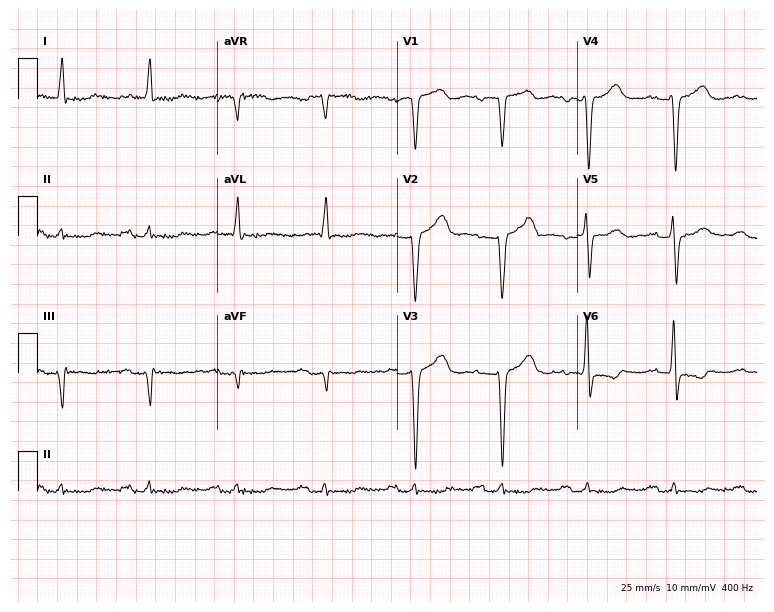
Electrocardiogram, a male, 63 years old. Interpretation includes first-degree AV block.